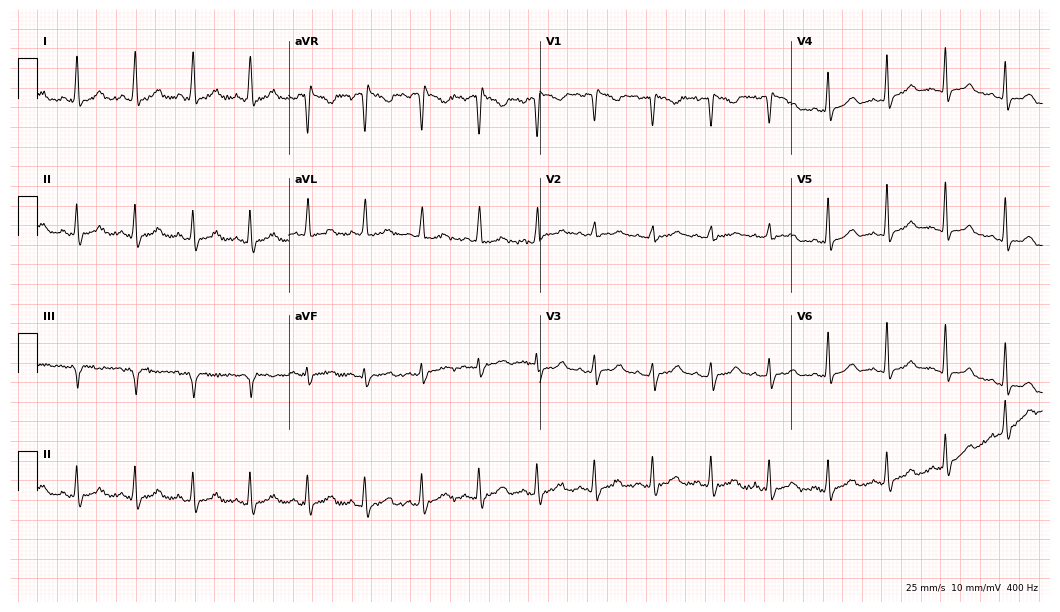
12-lead ECG from a 30-year-old woman (10.2-second recording at 400 Hz). Shows sinus tachycardia (a sinus rate of 100 beats per minute or more).